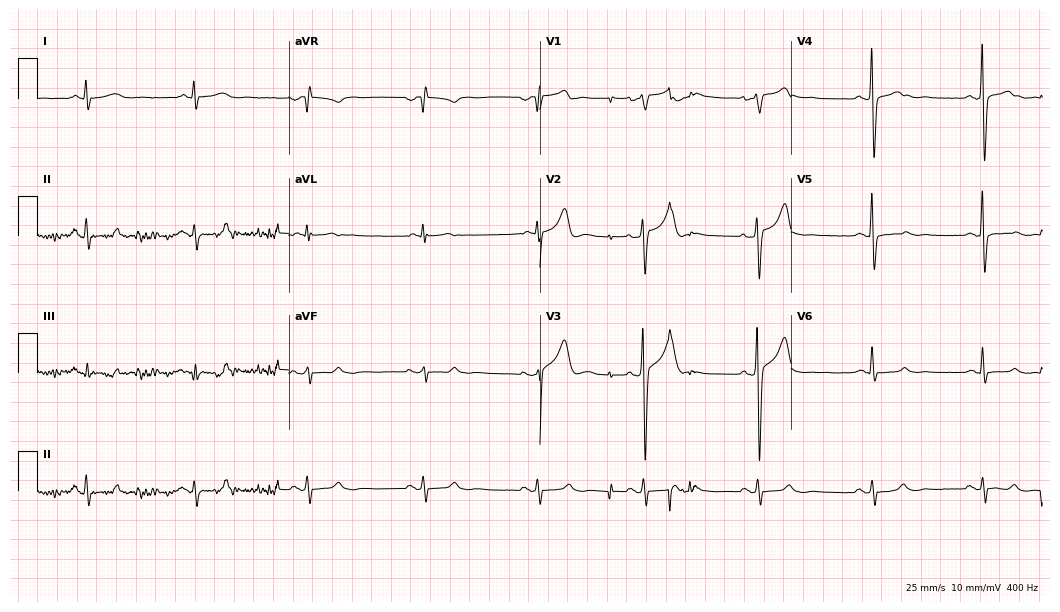
Electrocardiogram (10.2-second recording at 400 Hz), a 40-year-old male patient. Overall reading on record: normal ECG.